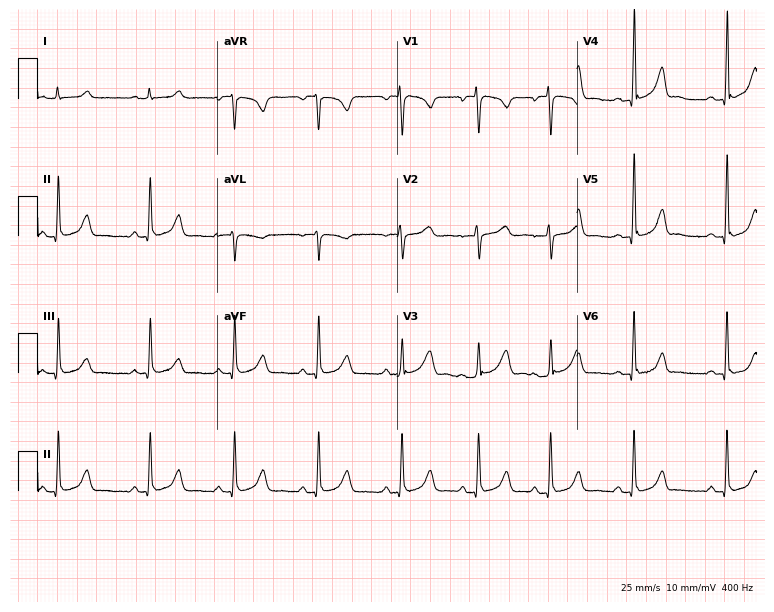
Standard 12-lead ECG recorded from a female patient, 20 years old (7.3-second recording at 400 Hz). Read as a normal ECG.